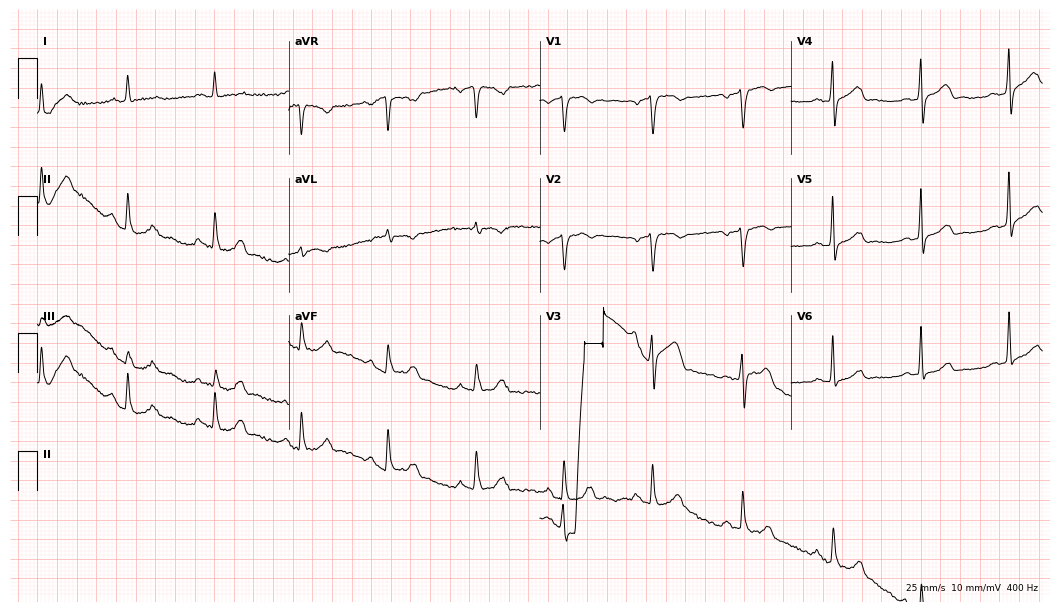
Standard 12-lead ECG recorded from an 80-year-old man. Read as a normal ECG.